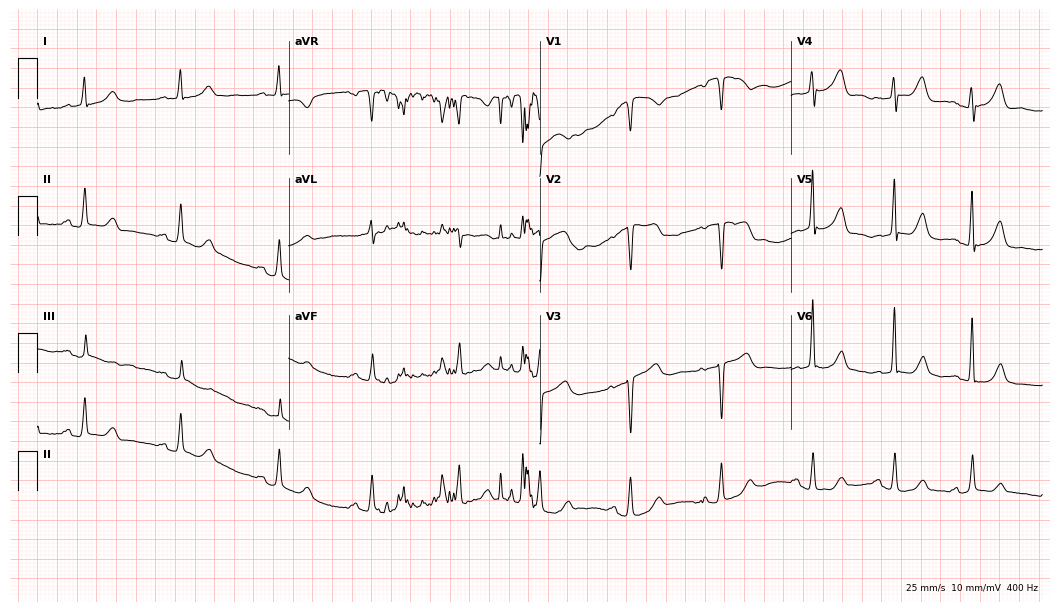
Standard 12-lead ECG recorded from a 66-year-old woman (10.2-second recording at 400 Hz). None of these six findings is recorded: first-degree AV block, right bundle branch block (RBBB), left bundle branch block (LBBB), sinus bradycardia, atrial fibrillation (AF), sinus tachycardia. Findings outside these six are not listed.